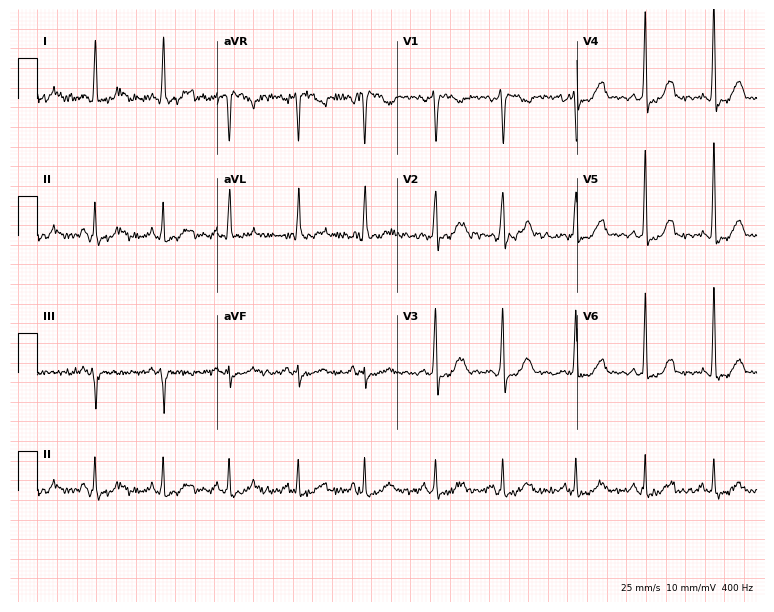
12-lead ECG (7.3-second recording at 400 Hz) from a 54-year-old woman. Labelled as a normal ECG.